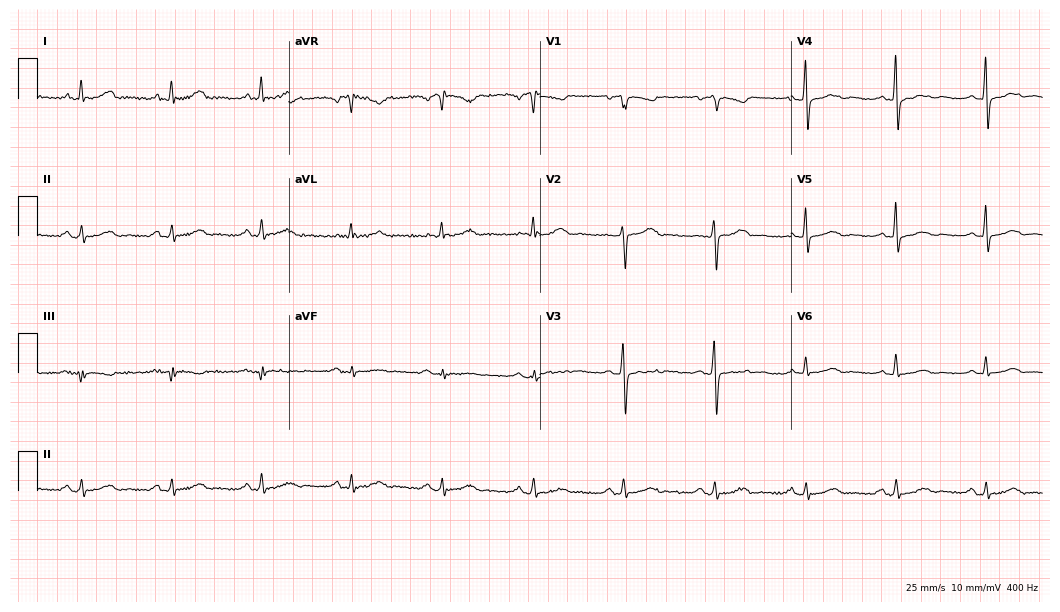
ECG (10.2-second recording at 400 Hz) — a 59-year-old female patient. Screened for six findings — first-degree AV block, right bundle branch block, left bundle branch block, sinus bradycardia, atrial fibrillation, sinus tachycardia — none is recorded.